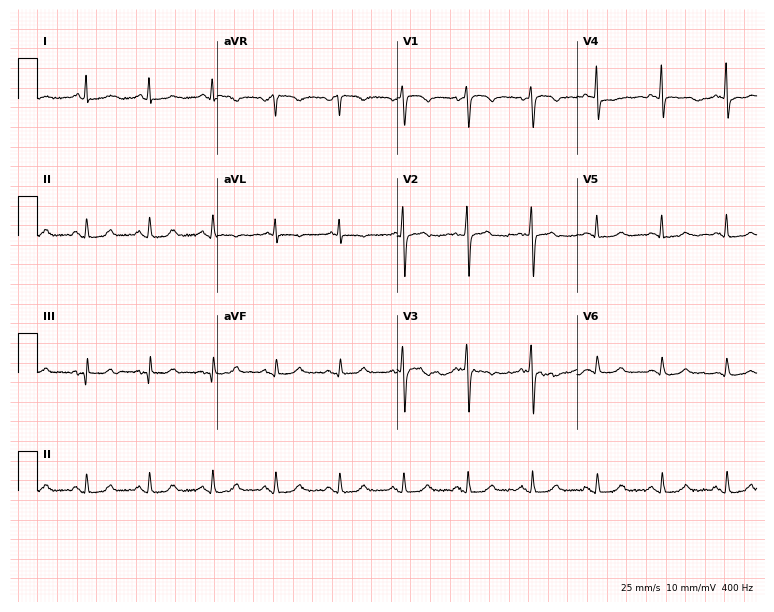
12-lead ECG from a female patient, 46 years old. Screened for six findings — first-degree AV block, right bundle branch block, left bundle branch block, sinus bradycardia, atrial fibrillation, sinus tachycardia — none is recorded.